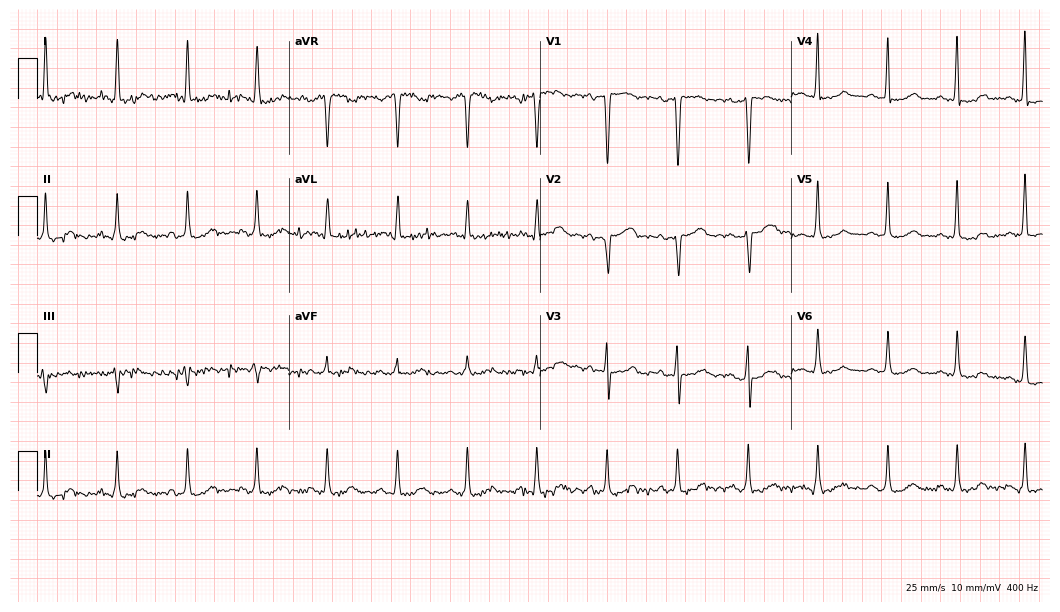
Standard 12-lead ECG recorded from a female patient, 62 years old (10.2-second recording at 400 Hz). None of these six findings is recorded: first-degree AV block, right bundle branch block, left bundle branch block, sinus bradycardia, atrial fibrillation, sinus tachycardia. Other findings, if any, are not listed.